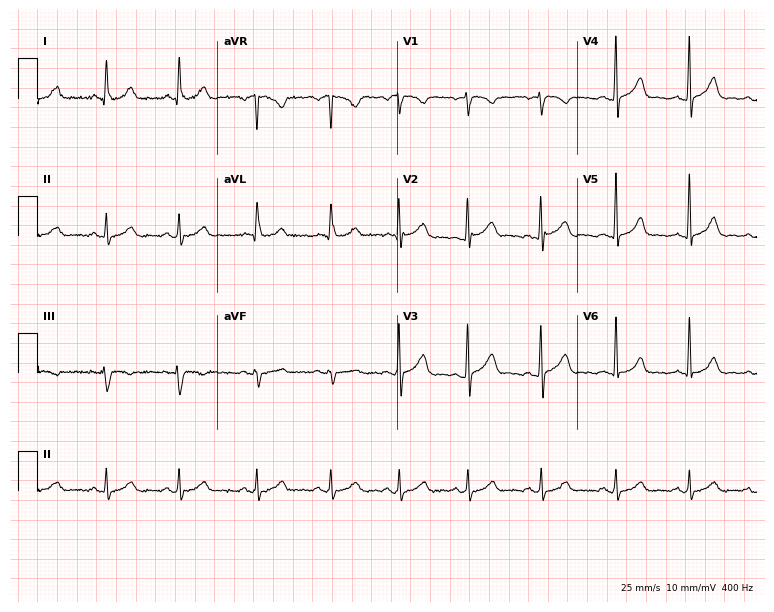
12-lead ECG (7.3-second recording at 400 Hz) from a woman, 39 years old. Labelled as a normal ECG.